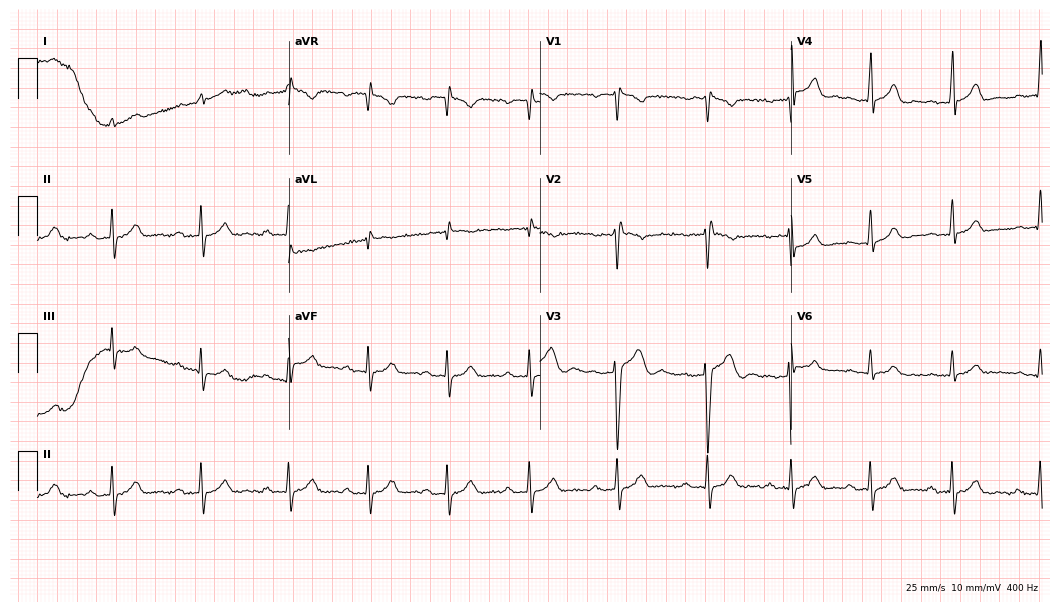
12-lead ECG (10.2-second recording at 400 Hz) from a man, 33 years old. Labelled as a normal ECG.